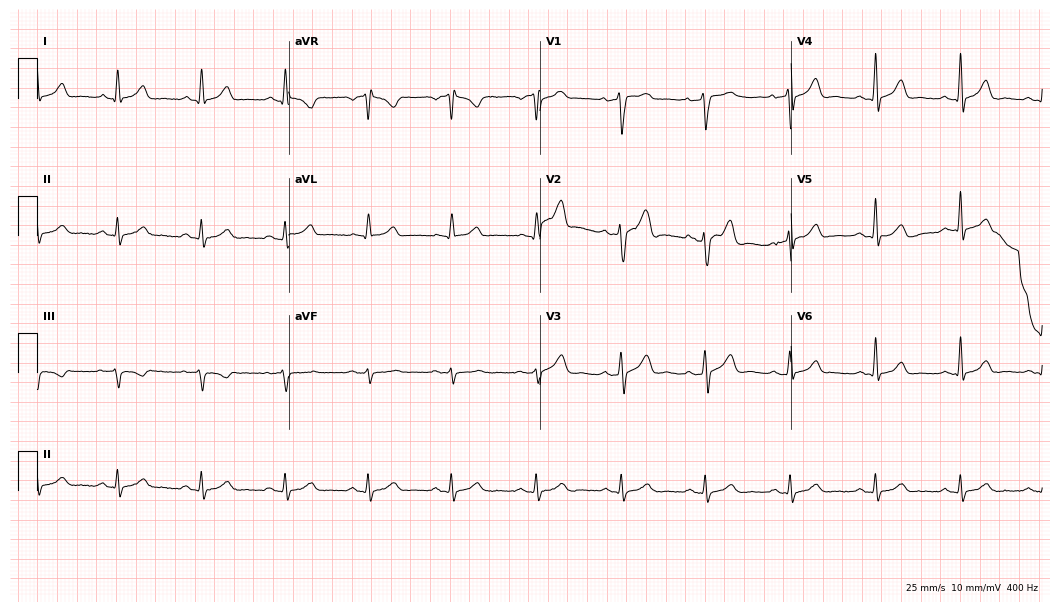
12-lead ECG from a male, 34 years old. Recorded interpretation: within normal limits.